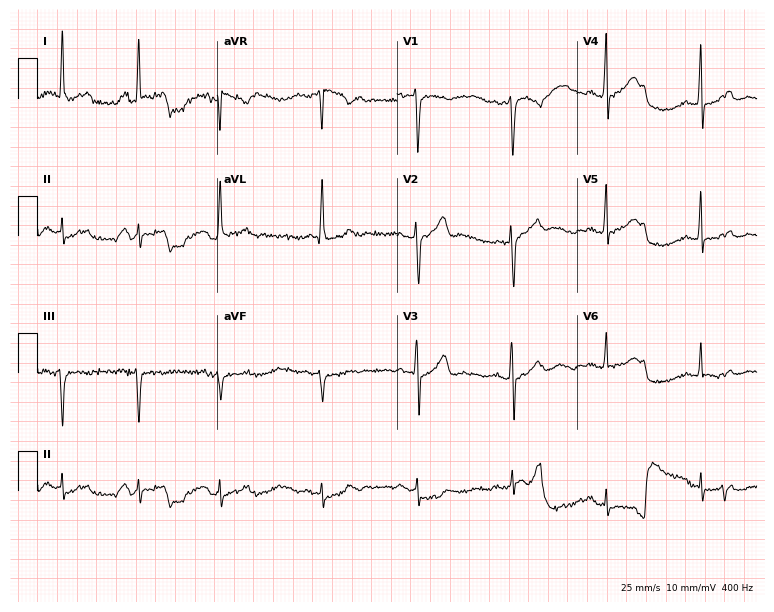
Electrocardiogram, a 53-year-old male. Of the six screened findings (first-degree AV block, right bundle branch block, left bundle branch block, sinus bradycardia, atrial fibrillation, sinus tachycardia), none is recorded. Only these six findings were labelled.